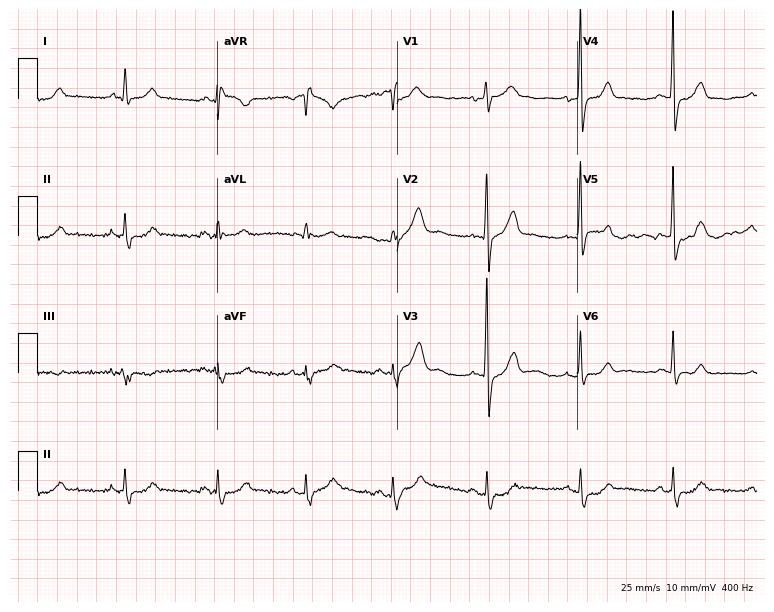
12-lead ECG (7.3-second recording at 400 Hz) from a 69-year-old man. Screened for six findings — first-degree AV block, right bundle branch block, left bundle branch block, sinus bradycardia, atrial fibrillation, sinus tachycardia — none is recorded. Findings outside these six are not listed.